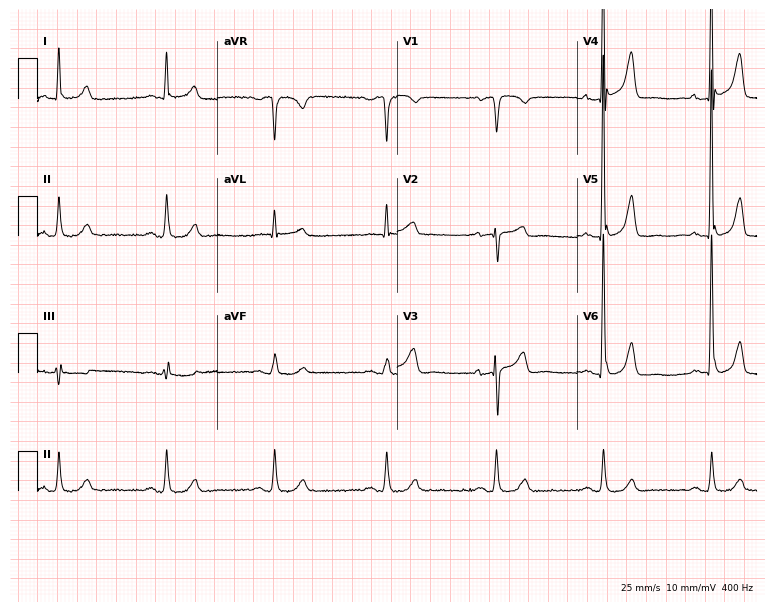
12-lead ECG from an 84-year-old male. Labelled as a normal ECG.